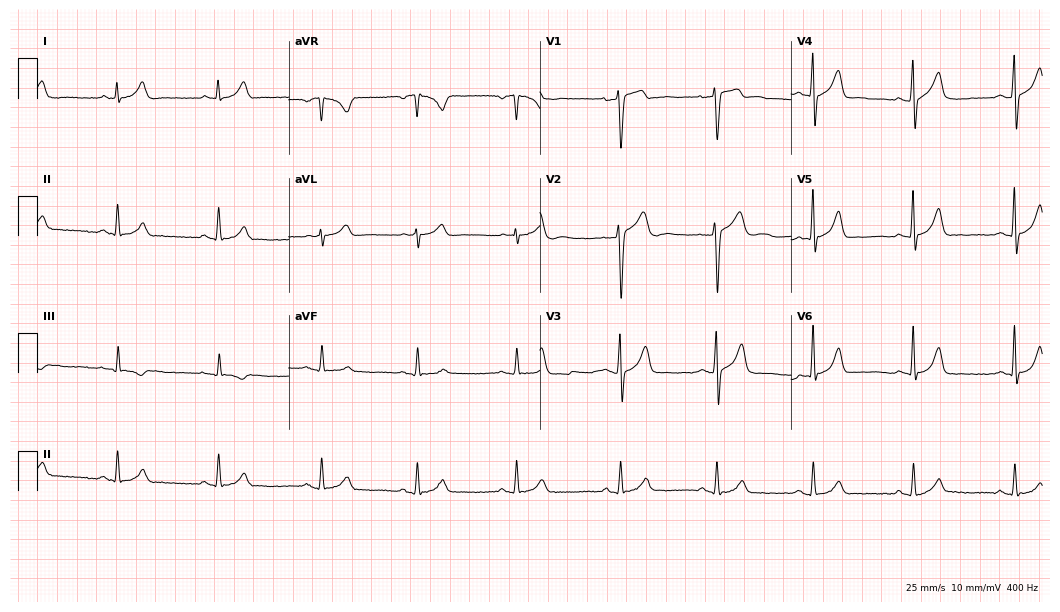
Resting 12-lead electrocardiogram. Patient: a 30-year-old male. Read as a normal ECG.